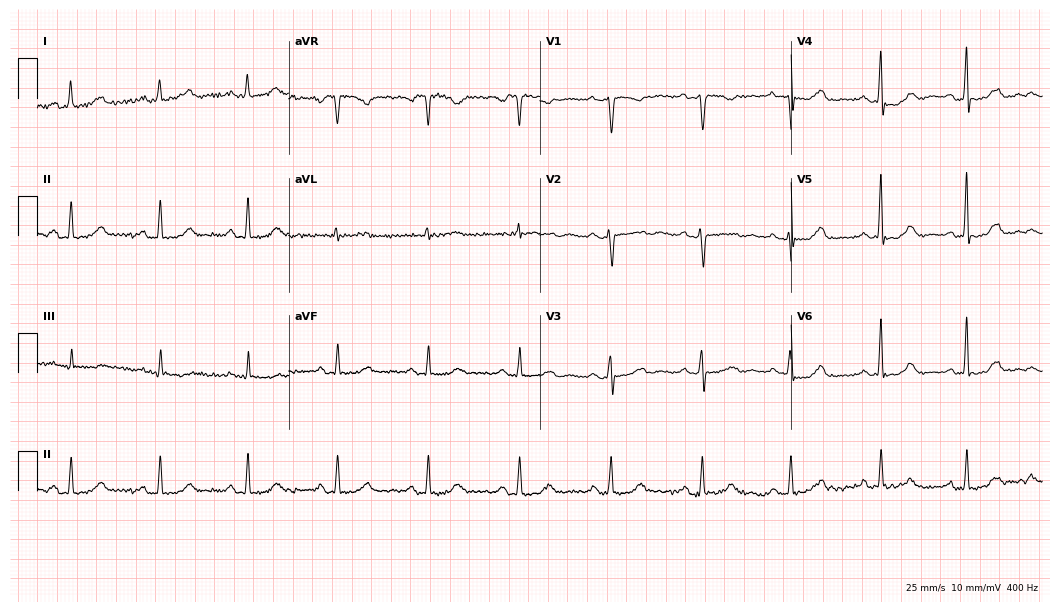
Standard 12-lead ECG recorded from a female, 53 years old. Read as a normal ECG.